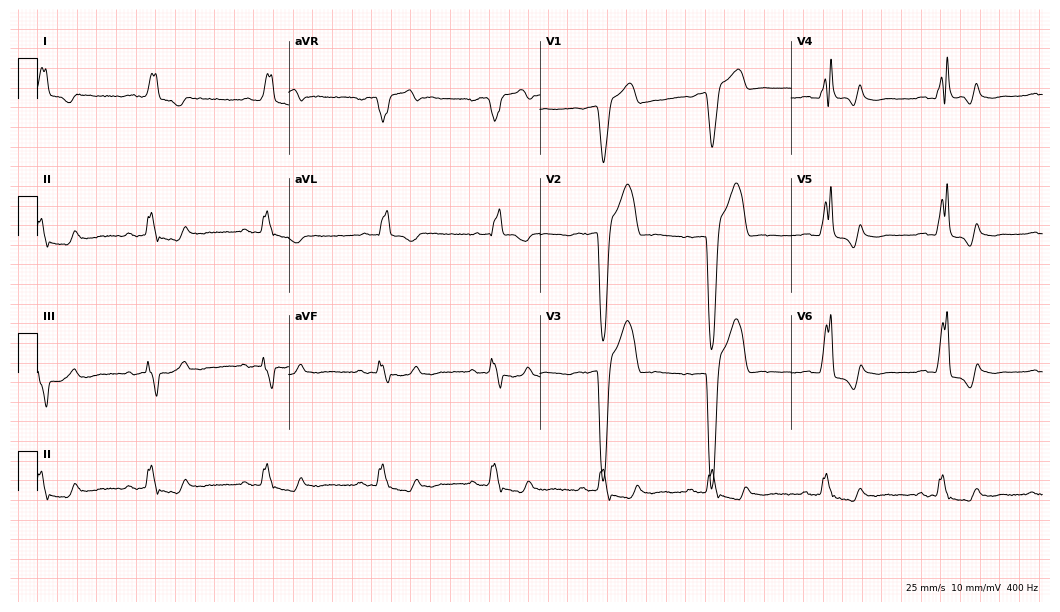
Electrocardiogram (10.2-second recording at 400 Hz), a 64-year-old male patient. Interpretation includes left bundle branch block (LBBB).